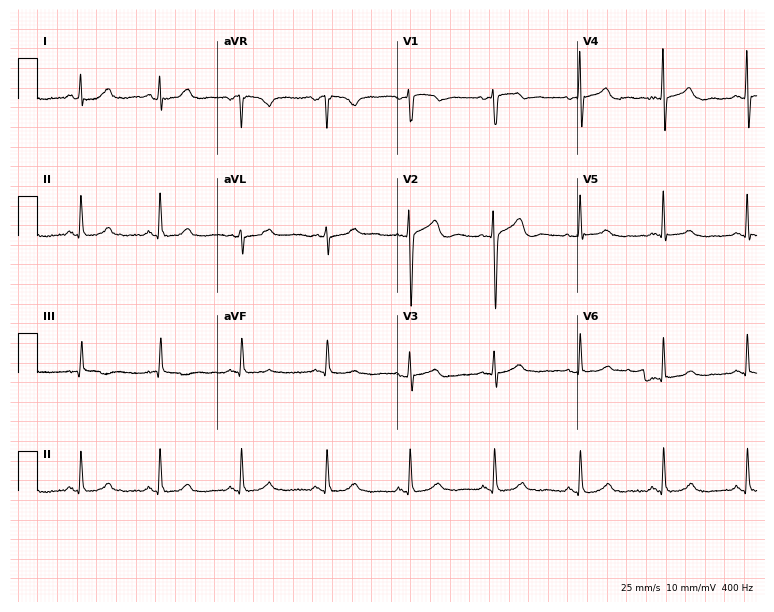
Electrocardiogram, a 29-year-old female. Overall reading on record: normal ECG.